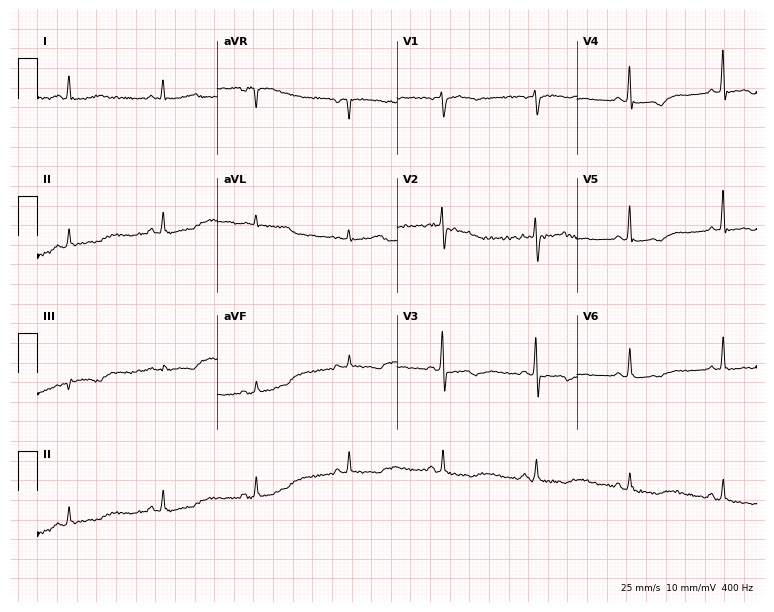
Standard 12-lead ECG recorded from a 76-year-old woman (7.3-second recording at 400 Hz). None of these six findings is recorded: first-degree AV block, right bundle branch block, left bundle branch block, sinus bradycardia, atrial fibrillation, sinus tachycardia.